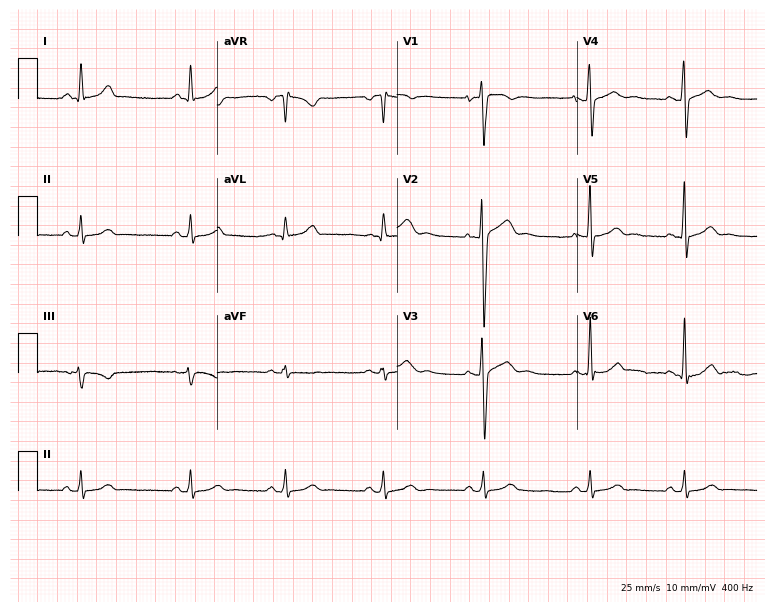
ECG (7.3-second recording at 400 Hz) — a male patient, 37 years old. Labelled as a normal ECG.